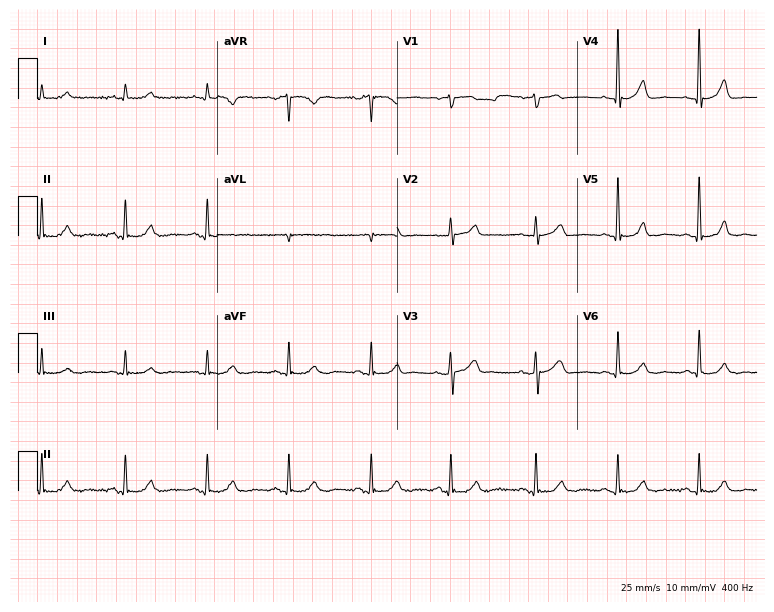
12-lead ECG (7.3-second recording at 400 Hz) from a male, 76 years old. Labelled as a normal ECG.